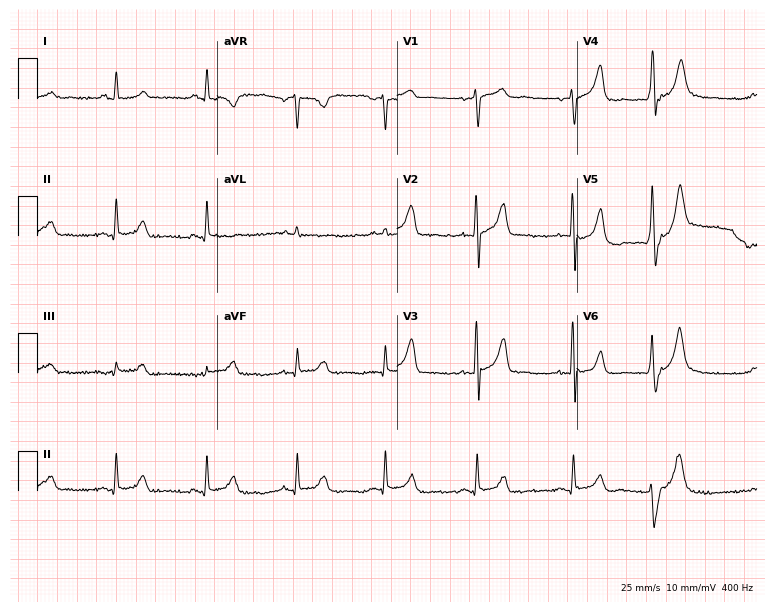
Resting 12-lead electrocardiogram (7.3-second recording at 400 Hz). Patient: a 67-year-old man. Read as a normal ECG.